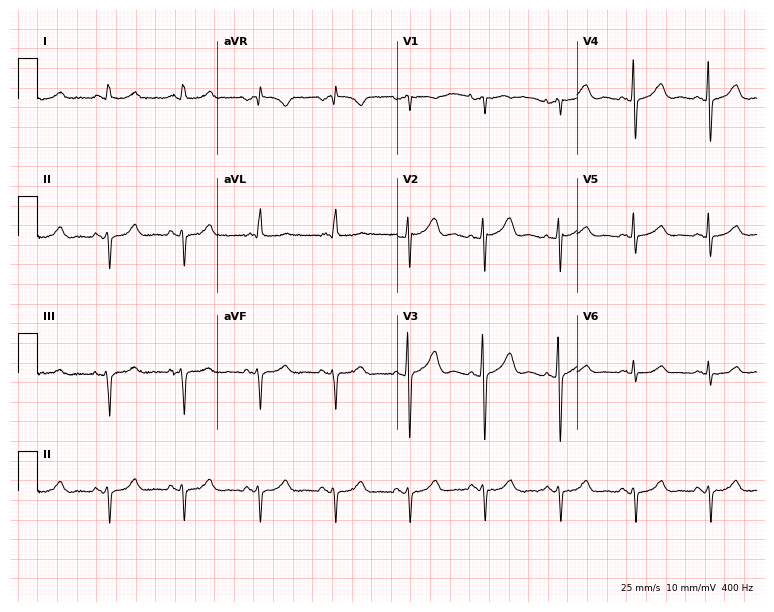
ECG (7.3-second recording at 400 Hz) — a 76-year-old female. Screened for six findings — first-degree AV block, right bundle branch block, left bundle branch block, sinus bradycardia, atrial fibrillation, sinus tachycardia — none is recorded.